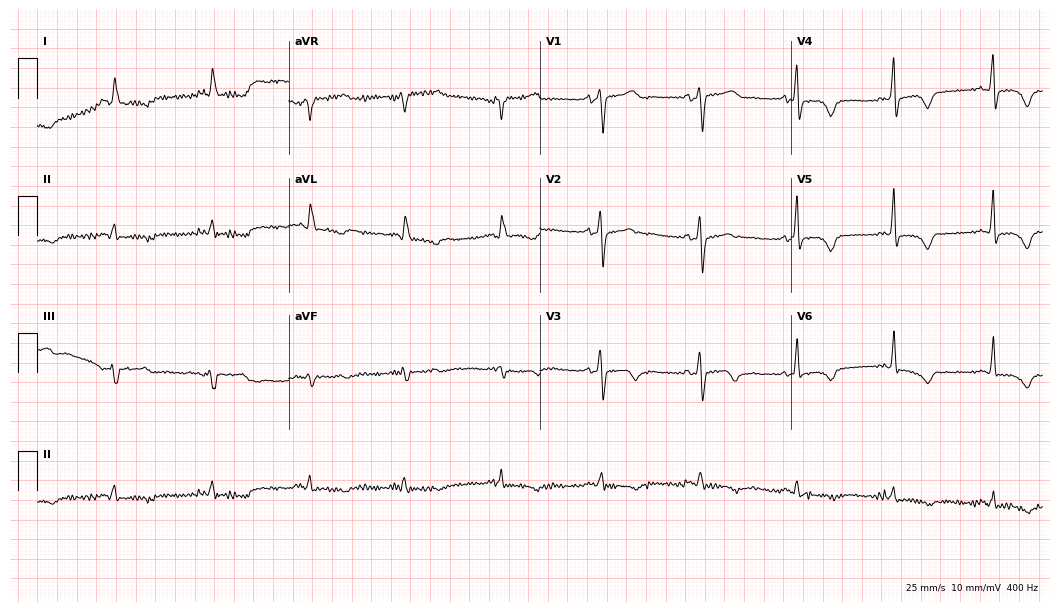
Electrocardiogram (10.2-second recording at 400 Hz), a female patient, 79 years old. Of the six screened findings (first-degree AV block, right bundle branch block (RBBB), left bundle branch block (LBBB), sinus bradycardia, atrial fibrillation (AF), sinus tachycardia), none is recorded. Findings outside these six are not listed.